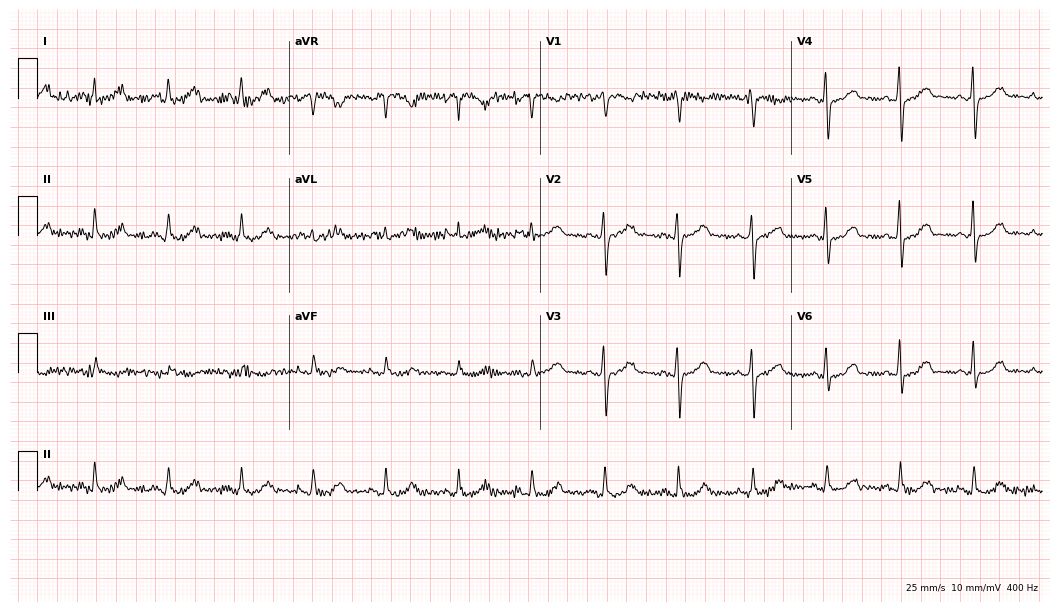
ECG — a female, 42 years old. Screened for six findings — first-degree AV block, right bundle branch block, left bundle branch block, sinus bradycardia, atrial fibrillation, sinus tachycardia — none is recorded.